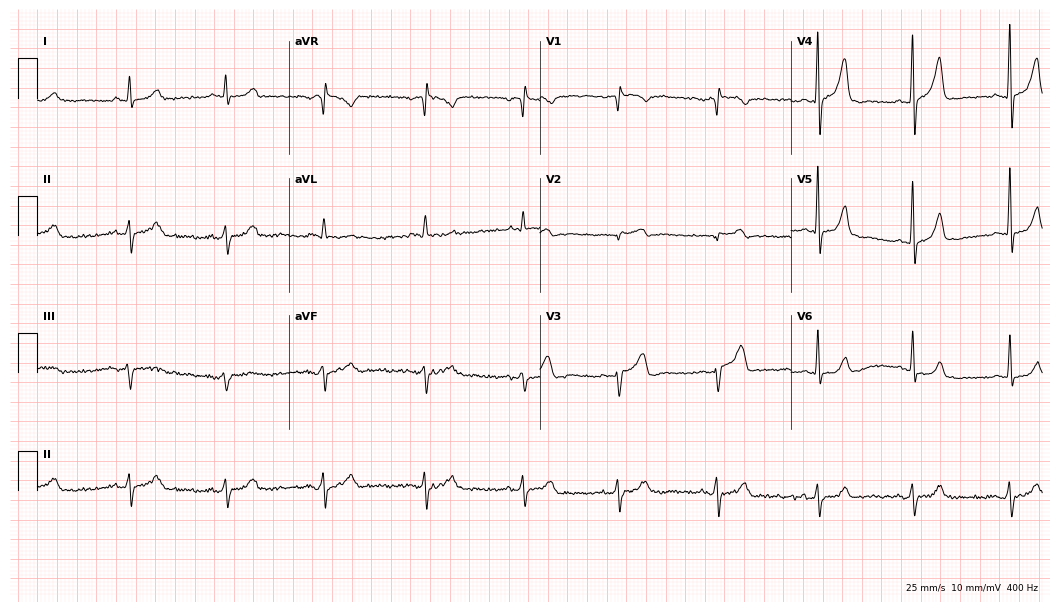
Resting 12-lead electrocardiogram. Patient: a man, 53 years old. None of these six findings is recorded: first-degree AV block, right bundle branch block (RBBB), left bundle branch block (LBBB), sinus bradycardia, atrial fibrillation (AF), sinus tachycardia. Findings outside these six are not listed.